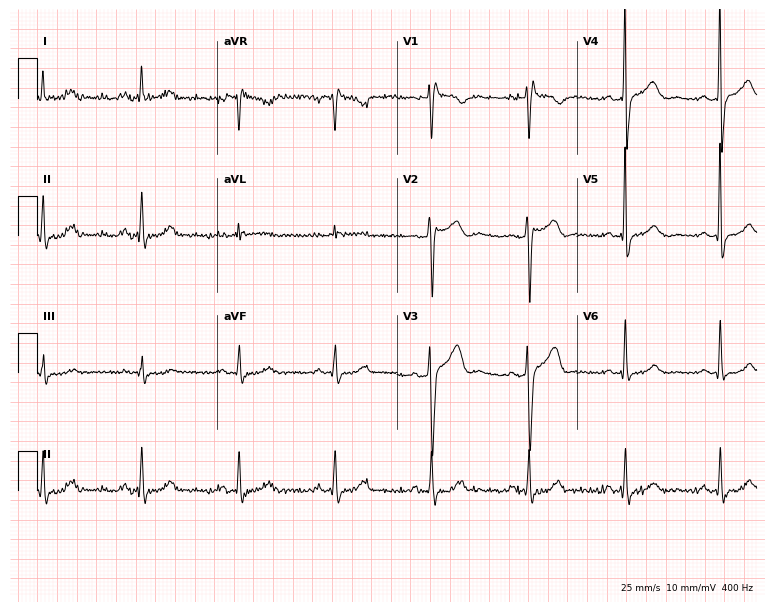
12-lead ECG (7.3-second recording at 400 Hz) from a 57-year-old male patient. Screened for six findings — first-degree AV block, right bundle branch block, left bundle branch block, sinus bradycardia, atrial fibrillation, sinus tachycardia — none is recorded.